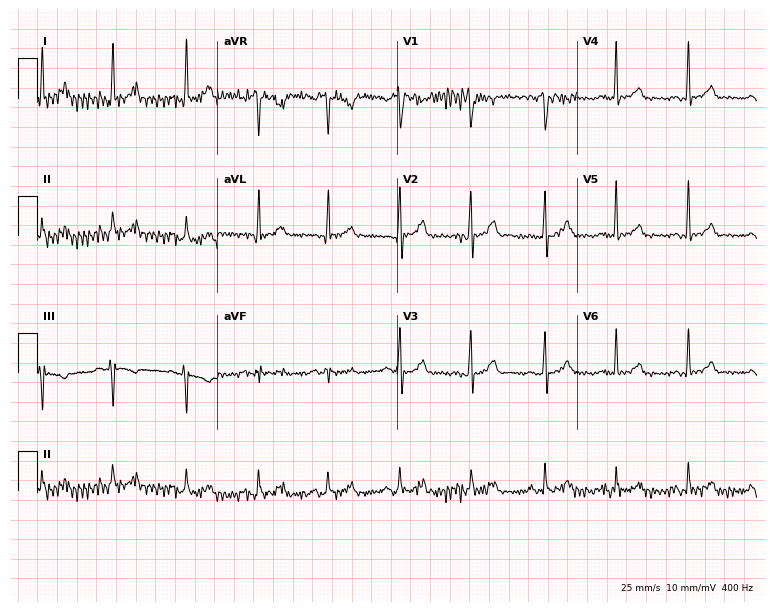
Resting 12-lead electrocardiogram. Patient: a 31-year-old female. None of these six findings is recorded: first-degree AV block, right bundle branch block (RBBB), left bundle branch block (LBBB), sinus bradycardia, atrial fibrillation (AF), sinus tachycardia.